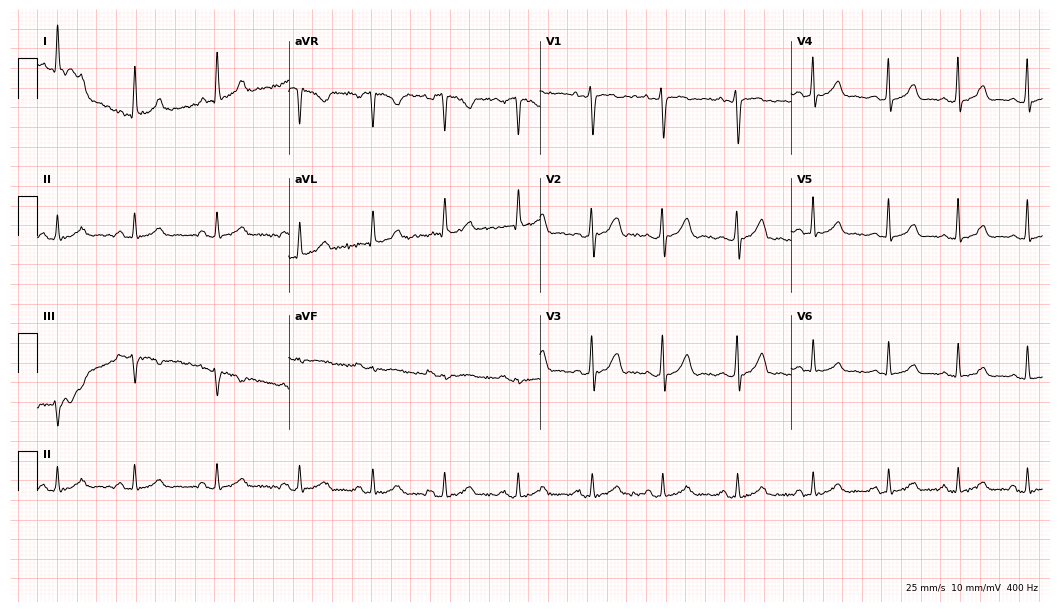
12-lead ECG (10.2-second recording at 400 Hz) from a female patient, 33 years old. Labelled as a normal ECG.